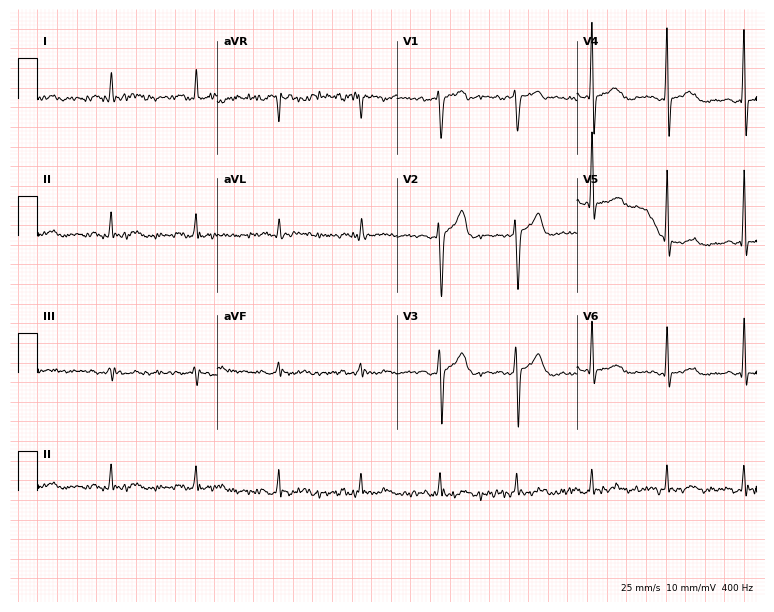
Standard 12-lead ECG recorded from a man, 48 years old (7.3-second recording at 400 Hz). None of these six findings is recorded: first-degree AV block, right bundle branch block, left bundle branch block, sinus bradycardia, atrial fibrillation, sinus tachycardia. Only these six findings were labelled.